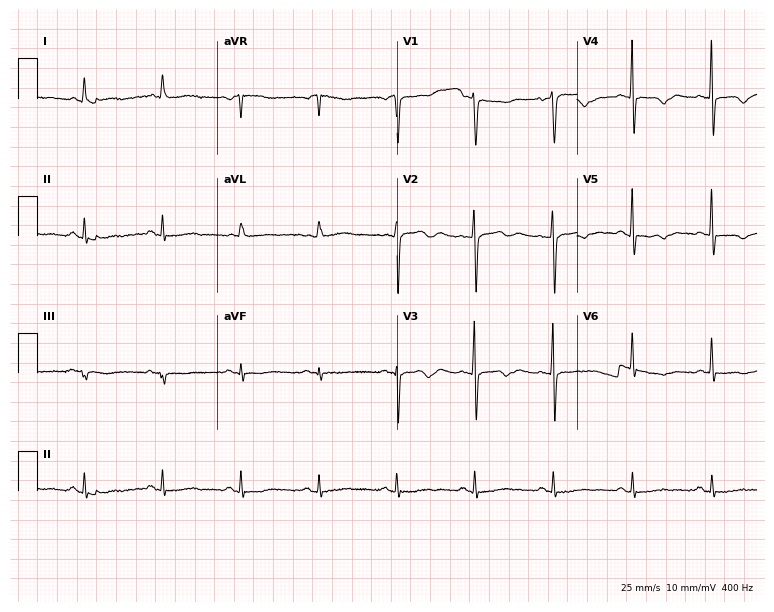
12-lead ECG from a woman, 82 years old. No first-degree AV block, right bundle branch block (RBBB), left bundle branch block (LBBB), sinus bradycardia, atrial fibrillation (AF) or sinus tachycardia recorded for this tracing. Other findings, if any, are not listed.